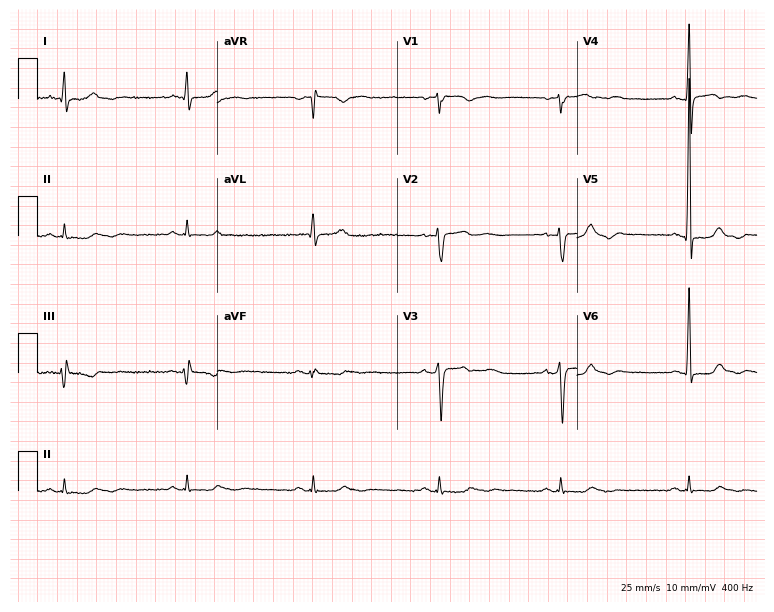
Electrocardiogram, a male, 43 years old. Overall reading on record: normal ECG.